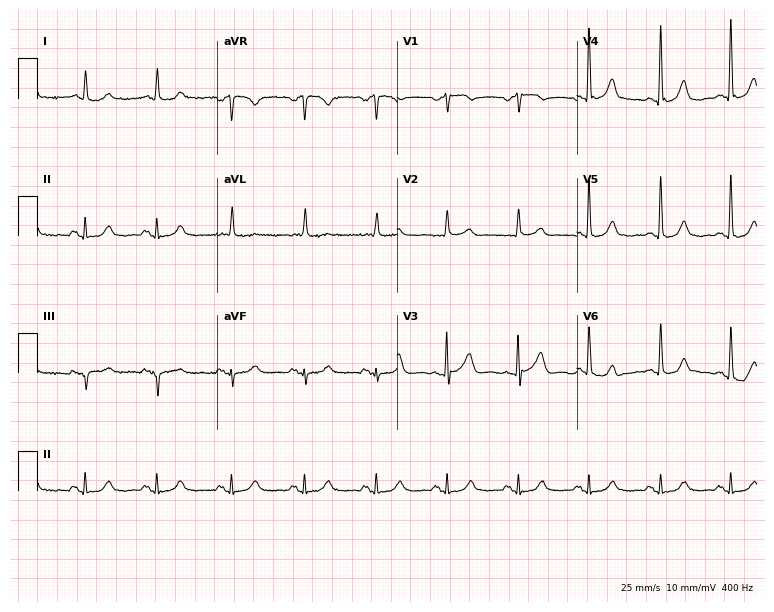
Electrocardiogram, a 67-year-old male. Overall reading on record: normal ECG.